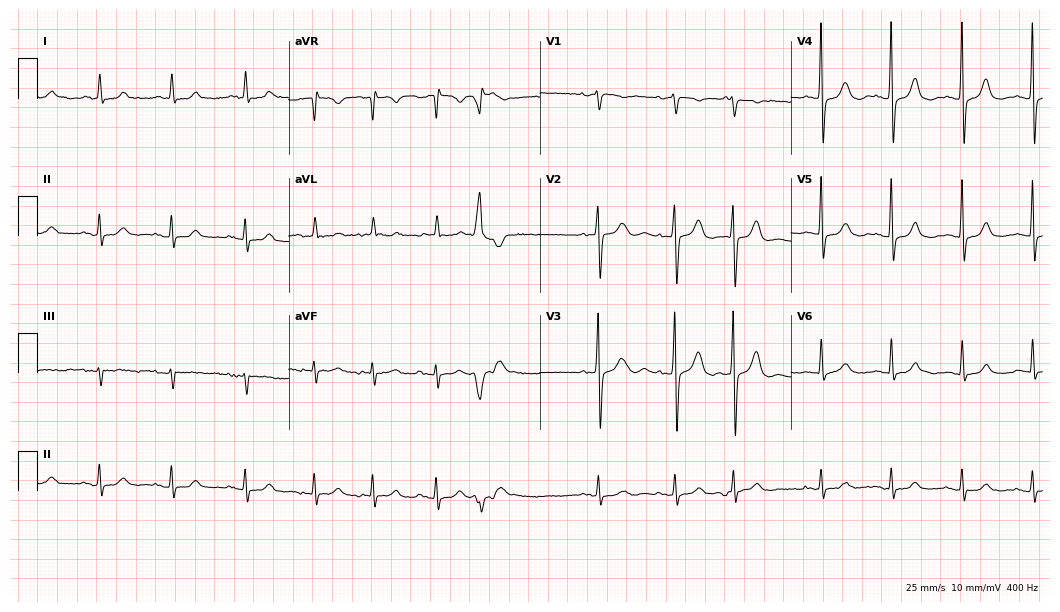
ECG — a female patient, 72 years old. Screened for six findings — first-degree AV block, right bundle branch block, left bundle branch block, sinus bradycardia, atrial fibrillation, sinus tachycardia — none is recorded.